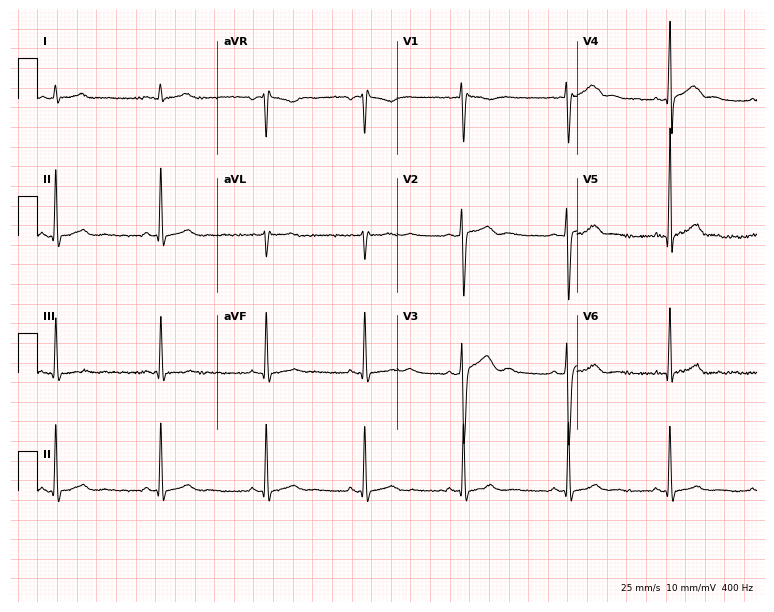
12-lead ECG (7.3-second recording at 400 Hz) from a 27-year-old man. Labelled as a normal ECG.